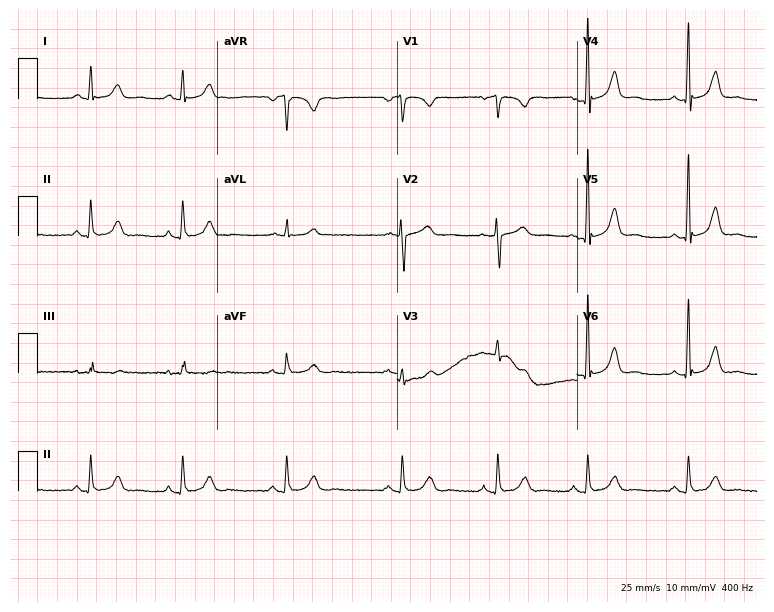
Standard 12-lead ECG recorded from a woman, 39 years old. Read as a normal ECG.